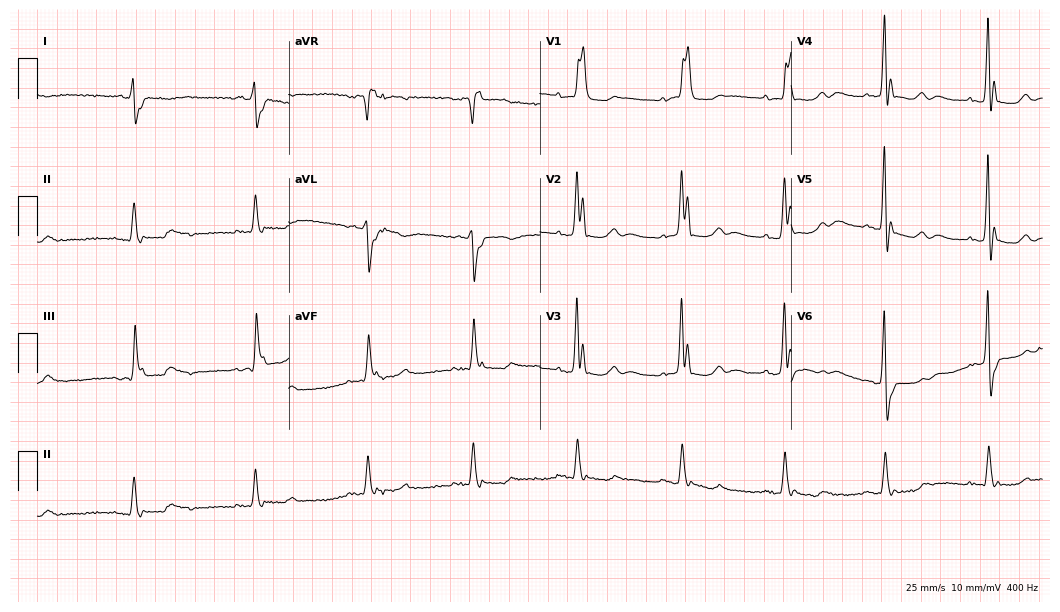
12-lead ECG from a male, 67 years old (10.2-second recording at 400 Hz). Shows right bundle branch block.